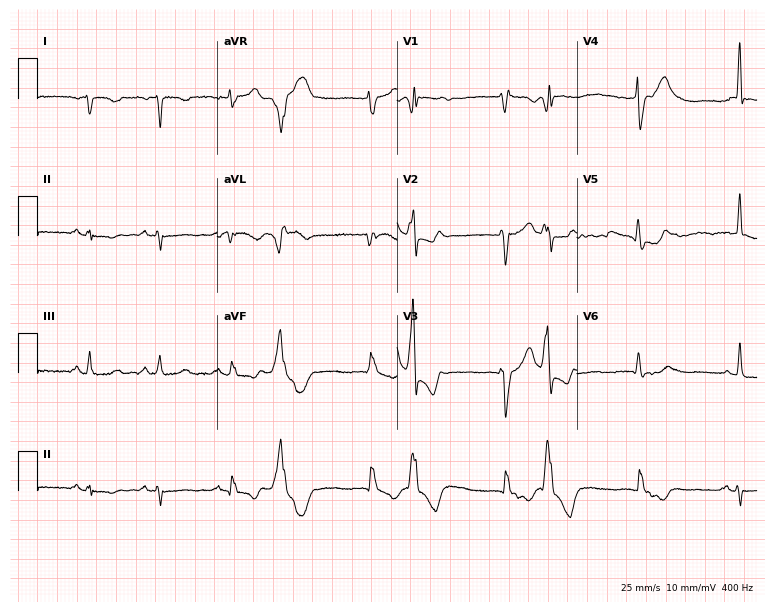
Standard 12-lead ECG recorded from a female patient, 42 years old. None of these six findings is recorded: first-degree AV block, right bundle branch block (RBBB), left bundle branch block (LBBB), sinus bradycardia, atrial fibrillation (AF), sinus tachycardia.